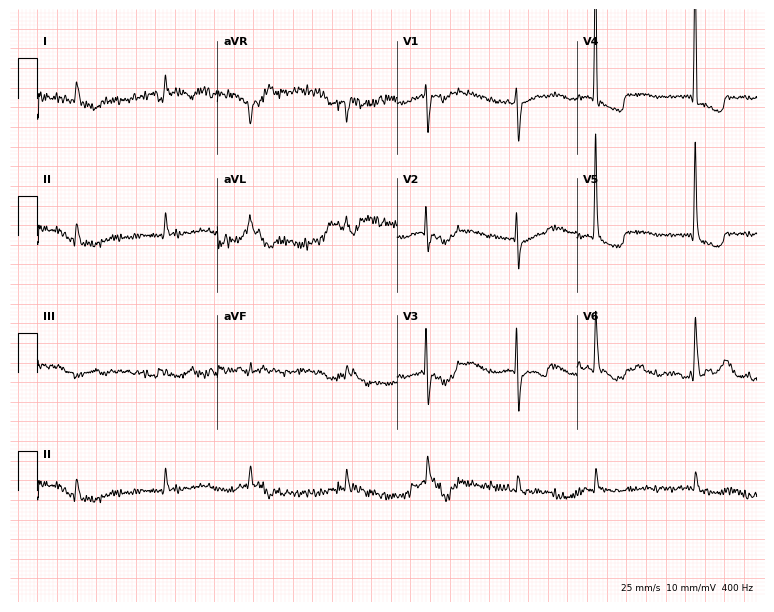
12-lead ECG from a woman, 81 years old (7.3-second recording at 400 Hz). No first-degree AV block, right bundle branch block (RBBB), left bundle branch block (LBBB), sinus bradycardia, atrial fibrillation (AF) or sinus tachycardia recorded for this tracing.